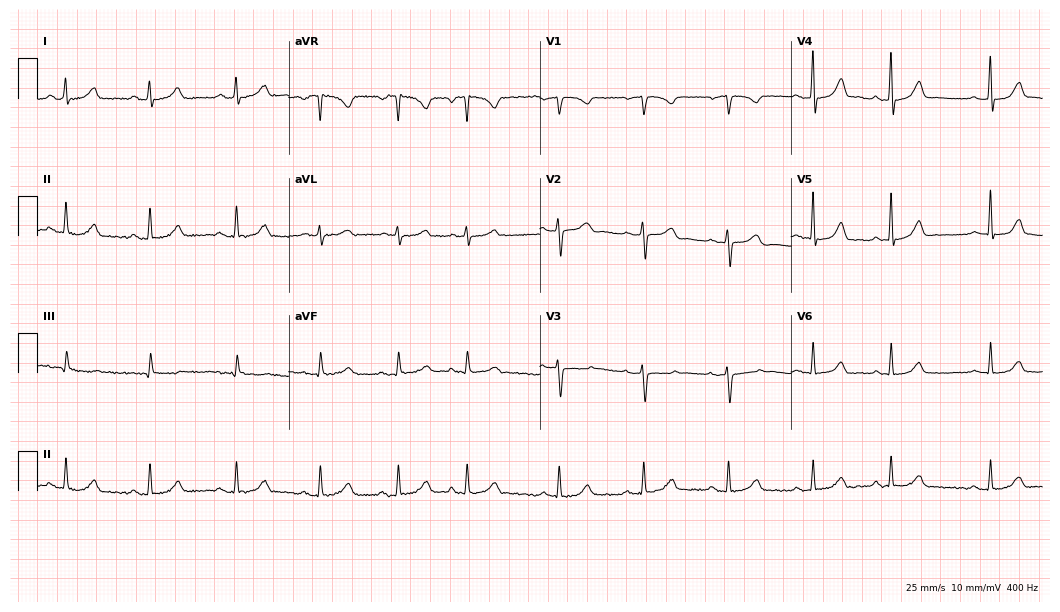
Standard 12-lead ECG recorded from a female patient, 38 years old (10.2-second recording at 400 Hz). Read as a normal ECG.